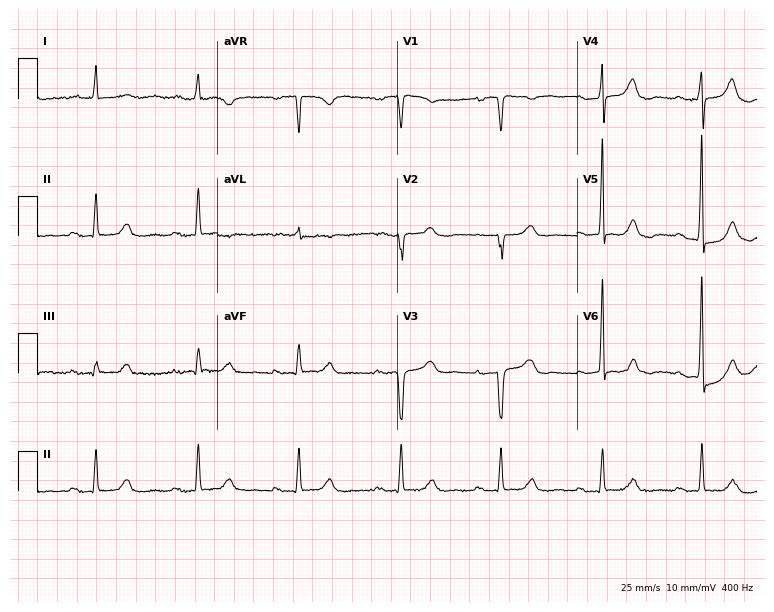
12-lead ECG from a 78-year-old female patient. Findings include first-degree AV block.